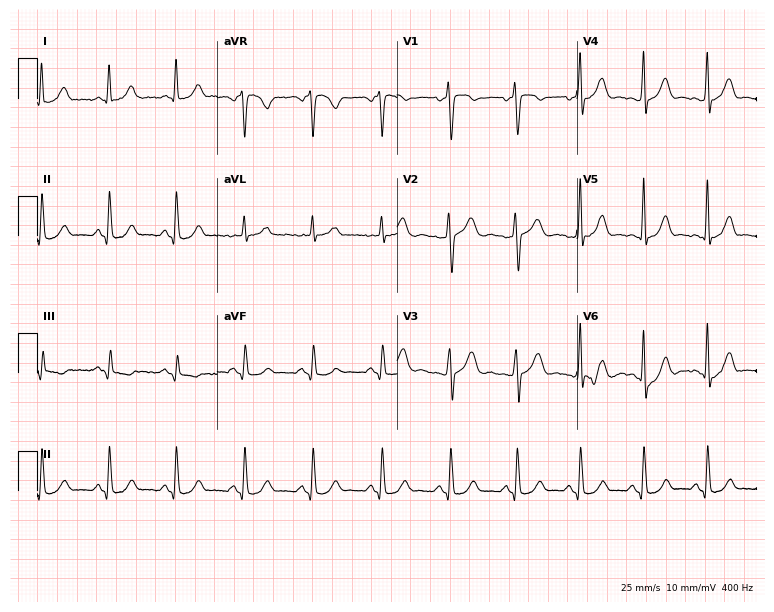
12-lead ECG from a woman, 39 years old (7.3-second recording at 400 Hz). No first-degree AV block, right bundle branch block, left bundle branch block, sinus bradycardia, atrial fibrillation or sinus tachycardia recorded for this tracing. Findings outside these six are not listed.